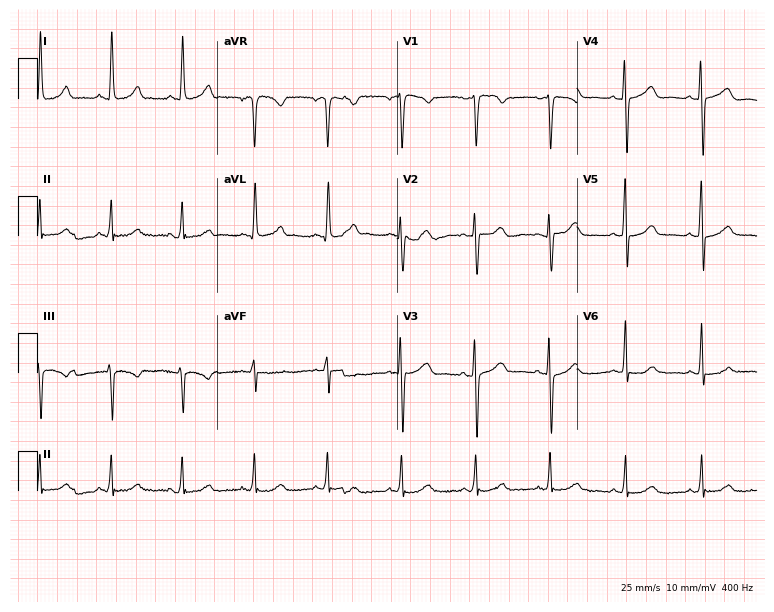
Electrocardiogram (7.3-second recording at 400 Hz), a woman, 52 years old. Of the six screened findings (first-degree AV block, right bundle branch block, left bundle branch block, sinus bradycardia, atrial fibrillation, sinus tachycardia), none is recorded.